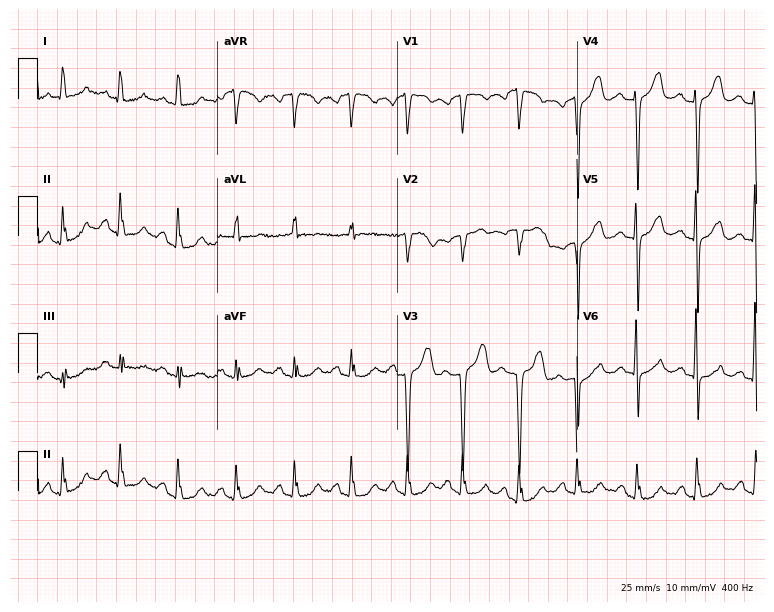
Electrocardiogram, a 52-year-old female. Interpretation includes sinus tachycardia (a sinus rate of 100 beats per minute or more).